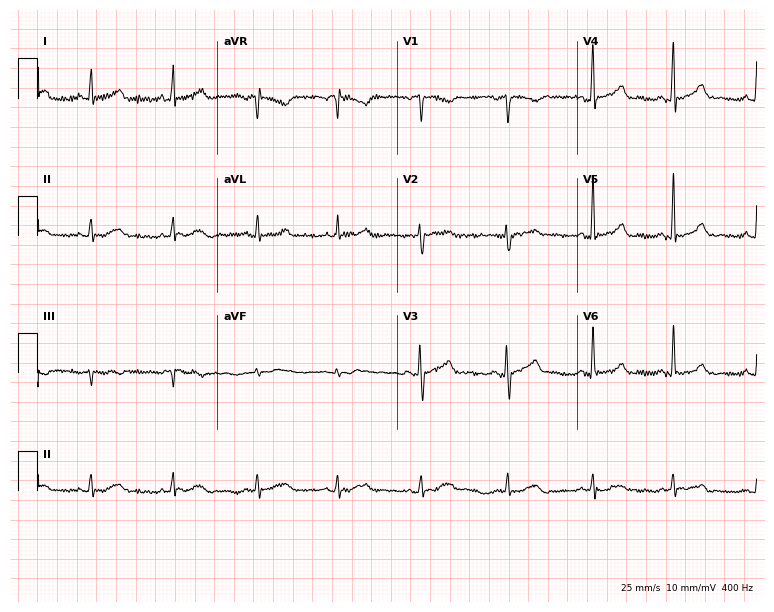
Standard 12-lead ECG recorded from a female patient, 30 years old (7.3-second recording at 400 Hz). None of these six findings is recorded: first-degree AV block, right bundle branch block, left bundle branch block, sinus bradycardia, atrial fibrillation, sinus tachycardia. Findings outside these six are not listed.